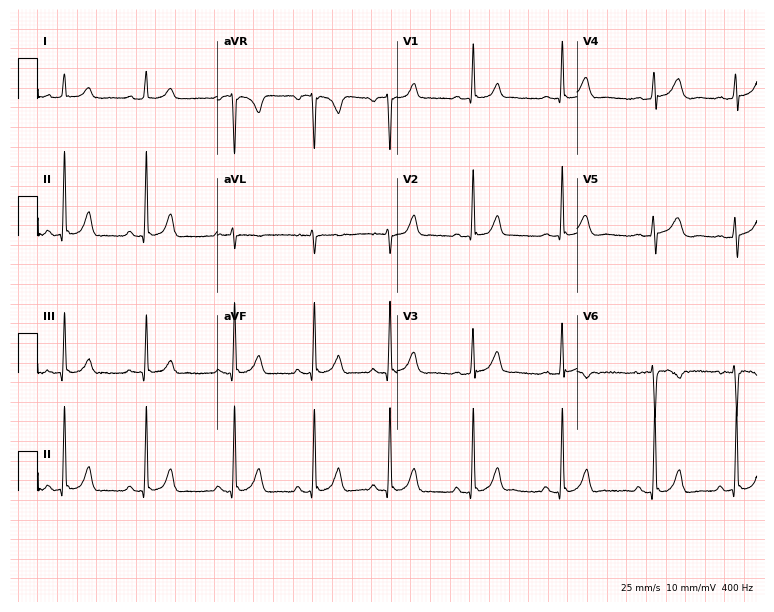
12-lead ECG from a female, 18 years old (7.3-second recording at 400 Hz). No first-degree AV block, right bundle branch block, left bundle branch block, sinus bradycardia, atrial fibrillation or sinus tachycardia recorded for this tracing.